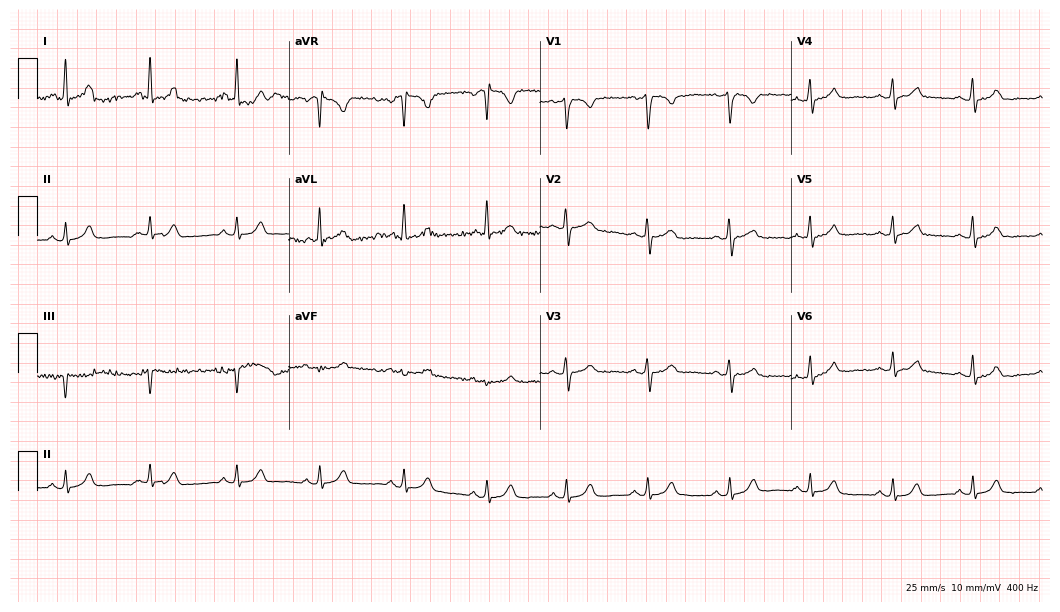
12-lead ECG from a 55-year-old female. Recorded interpretation: within normal limits.